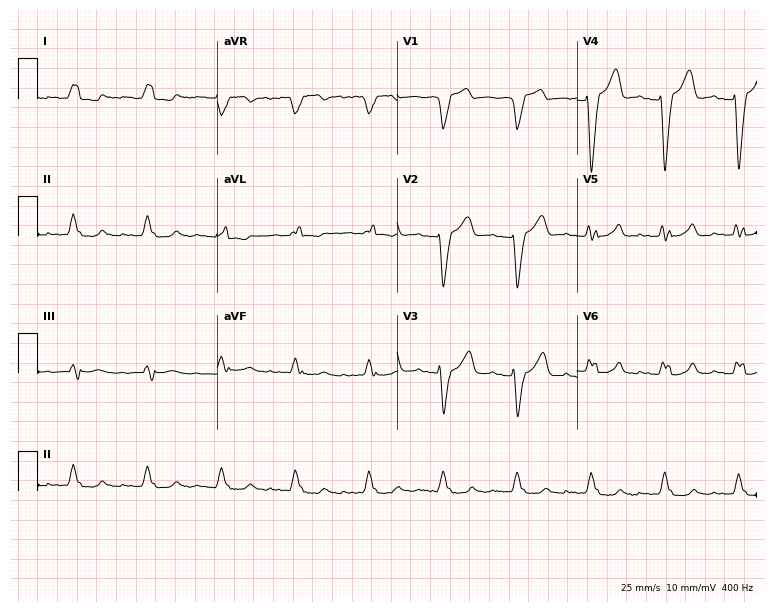
Resting 12-lead electrocardiogram. Patient: a 76-year-old male. The tracing shows first-degree AV block, left bundle branch block.